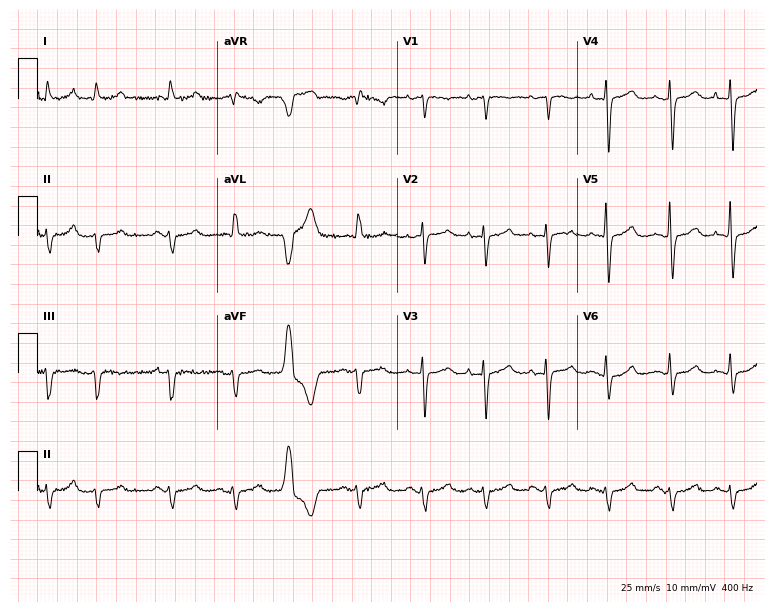
Electrocardiogram, a female, 65 years old. Of the six screened findings (first-degree AV block, right bundle branch block, left bundle branch block, sinus bradycardia, atrial fibrillation, sinus tachycardia), none is recorded. Findings outside these six are not listed.